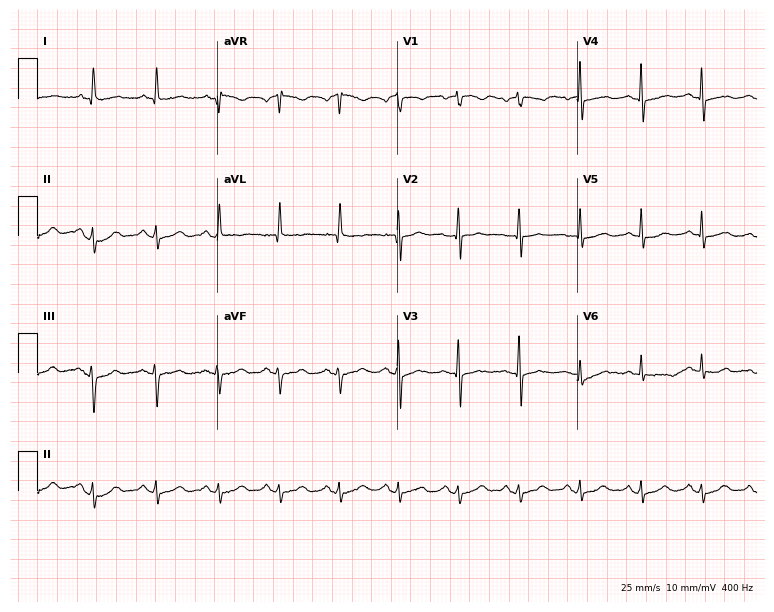
Resting 12-lead electrocardiogram (7.3-second recording at 400 Hz). Patient: a 65-year-old female. None of these six findings is recorded: first-degree AV block, right bundle branch block, left bundle branch block, sinus bradycardia, atrial fibrillation, sinus tachycardia. Only these six findings were labelled.